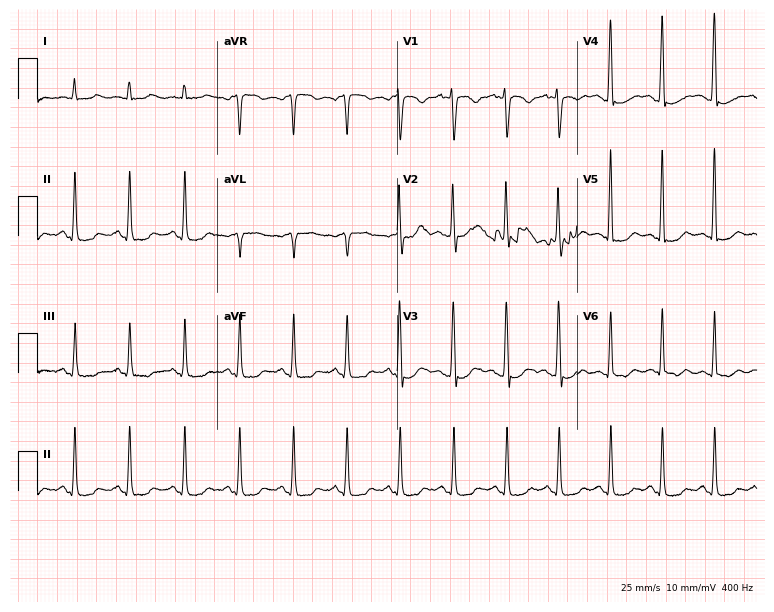
Resting 12-lead electrocardiogram. Patient: a woman, 41 years old. The tracing shows sinus tachycardia (a sinus rate of 100 beats per minute or more).